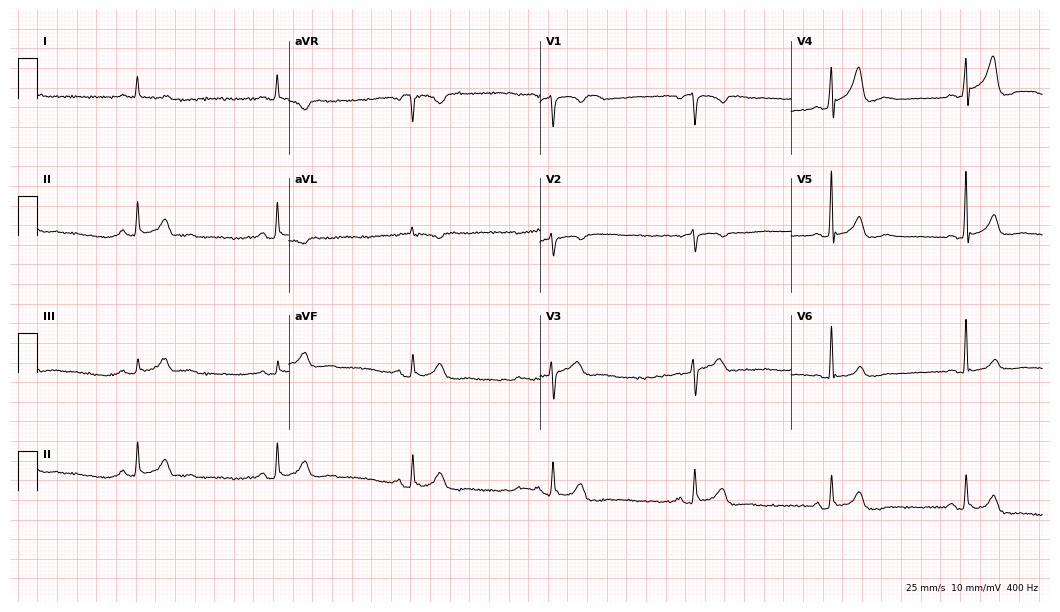
Electrocardiogram (10.2-second recording at 400 Hz), a male patient, 66 years old. Interpretation includes sinus bradycardia (a sinus rate of 50 beats per minute or less).